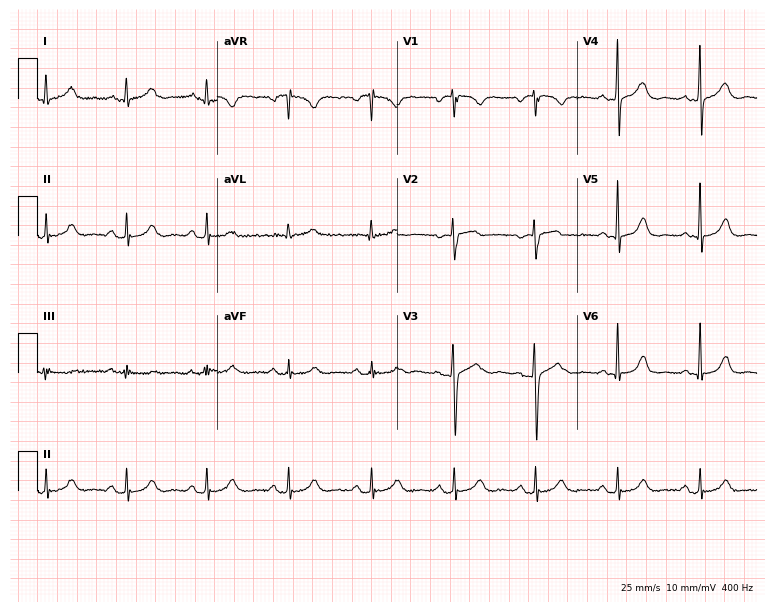
12-lead ECG (7.3-second recording at 400 Hz) from a female patient, 69 years old. Labelled as a normal ECG.